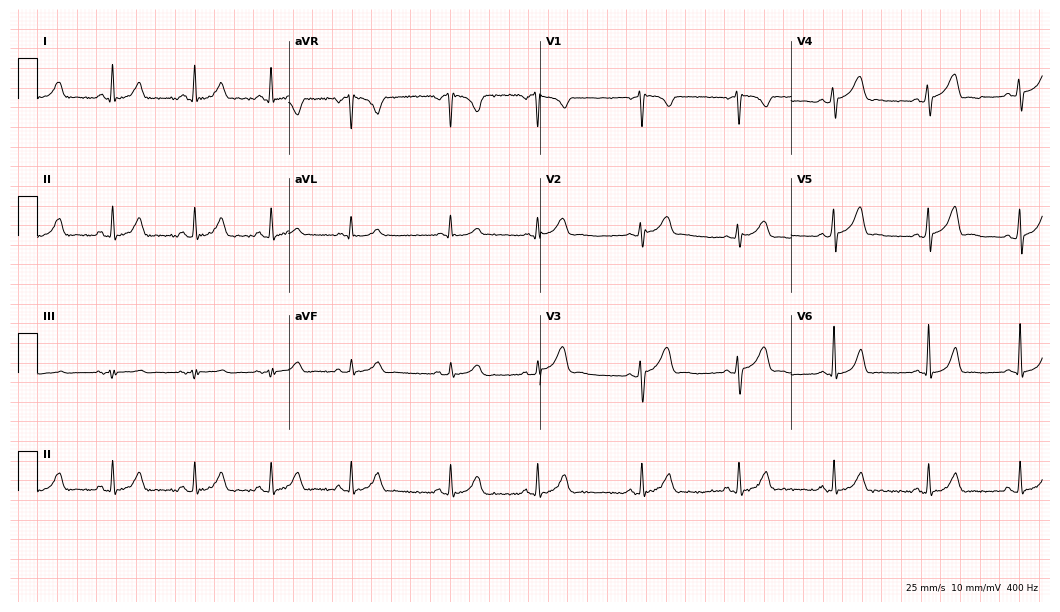
Electrocardiogram, an 18-year-old woman. Of the six screened findings (first-degree AV block, right bundle branch block, left bundle branch block, sinus bradycardia, atrial fibrillation, sinus tachycardia), none is recorded.